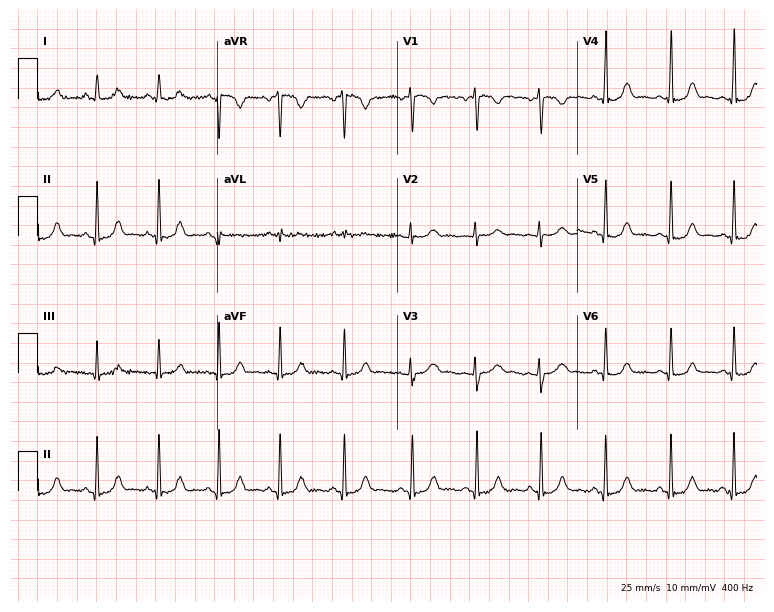
Standard 12-lead ECG recorded from a 23-year-old female patient (7.3-second recording at 400 Hz). Read as a normal ECG.